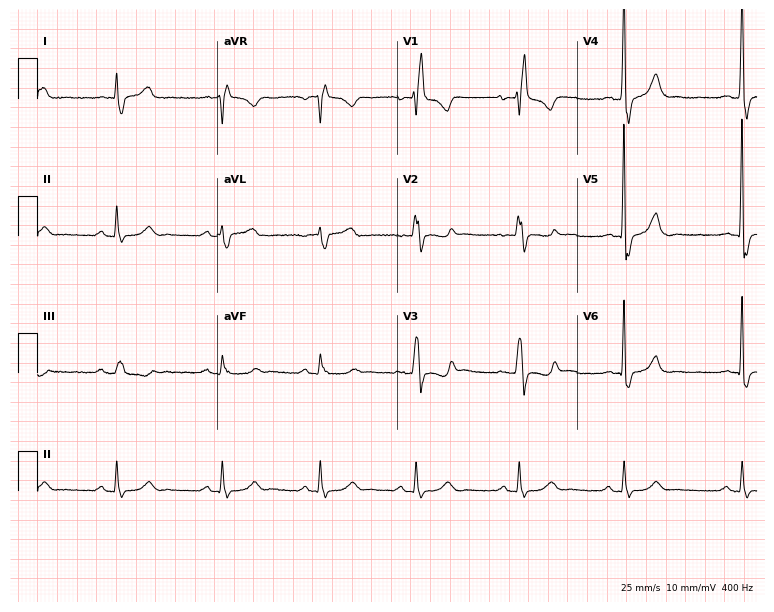
Standard 12-lead ECG recorded from a 53-year-old man. The tracing shows right bundle branch block (RBBB).